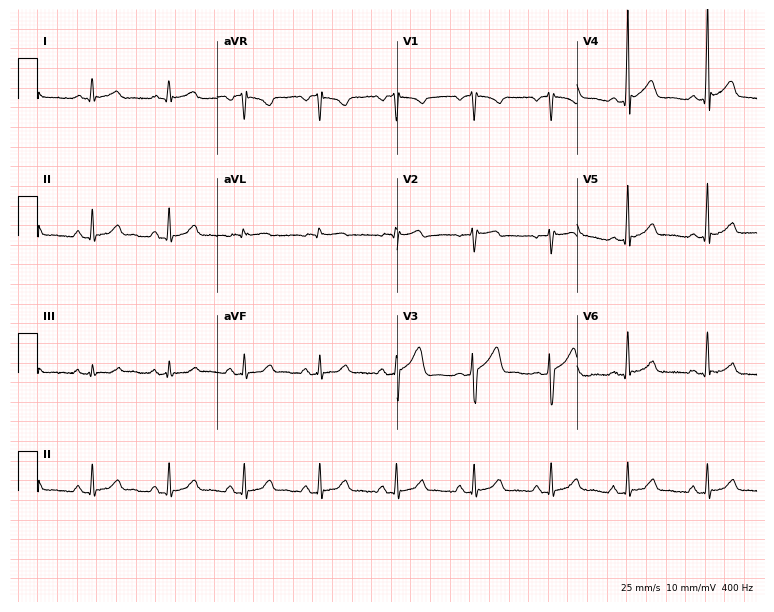
Standard 12-lead ECG recorded from a male patient, 55 years old. Read as a normal ECG.